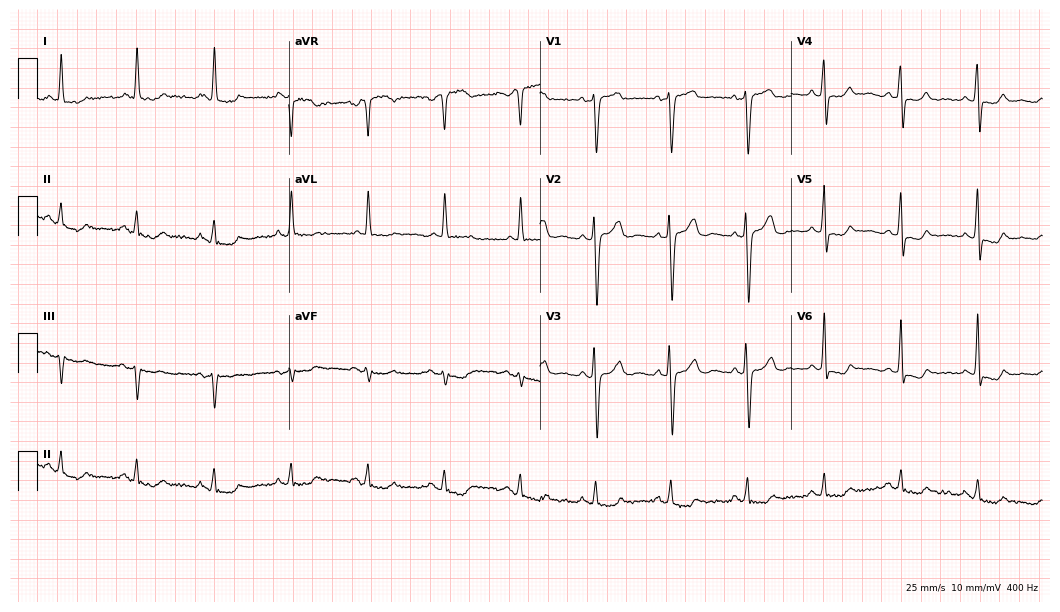
ECG (10.2-second recording at 400 Hz) — a male patient, 76 years old. Screened for six findings — first-degree AV block, right bundle branch block (RBBB), left bundle branch block (LBBB), sinus bradycardia, atrial fibrillation (AF), sinus tachycardia — none is recorded.